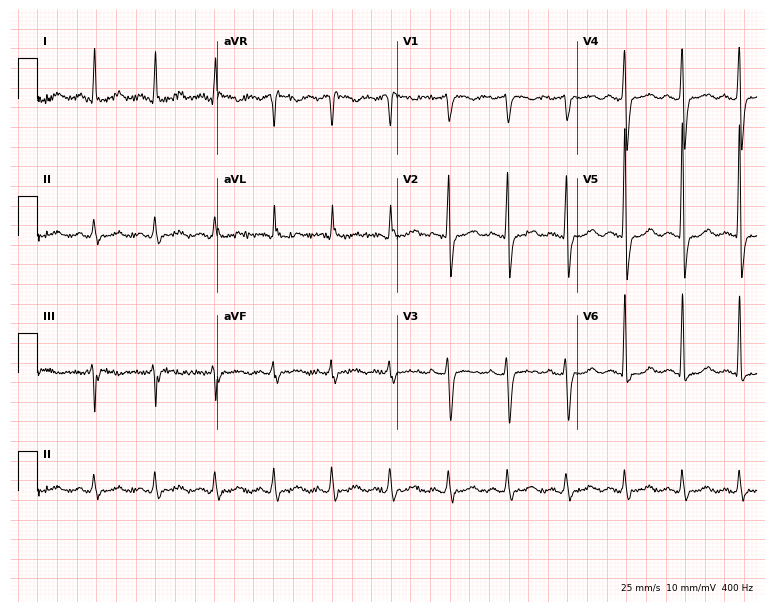
12-lead ECG from a 74-year-old woman. Screened for six findings — first-degree AV block, right bundle branch block, left bundle branch block, sinus bradycardia, atrial fibrillation, sinus tachycardia — none is recorded. Only these six findings were labelled.